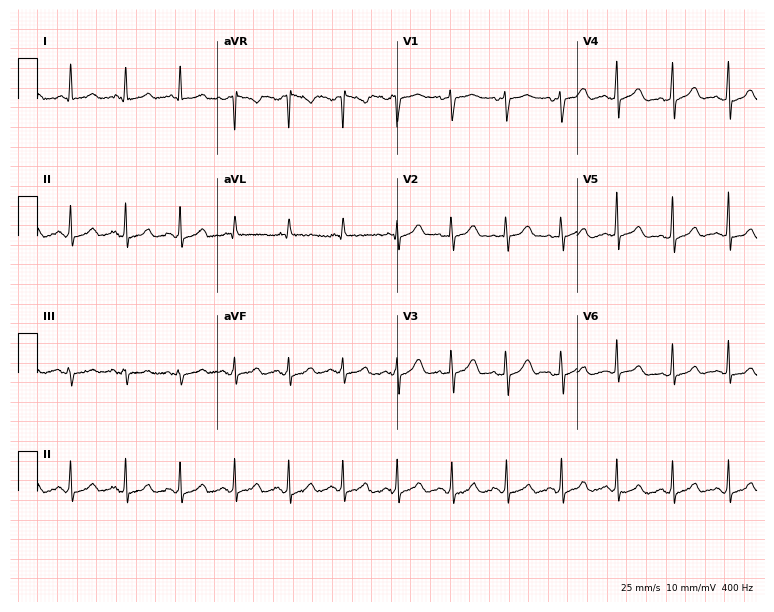
Resting 12-lead electrocardiogram. Patient: a 50-year-old female. The tracing shows sinus tachycardia (a sinus rate of 100 beats per minute or more).